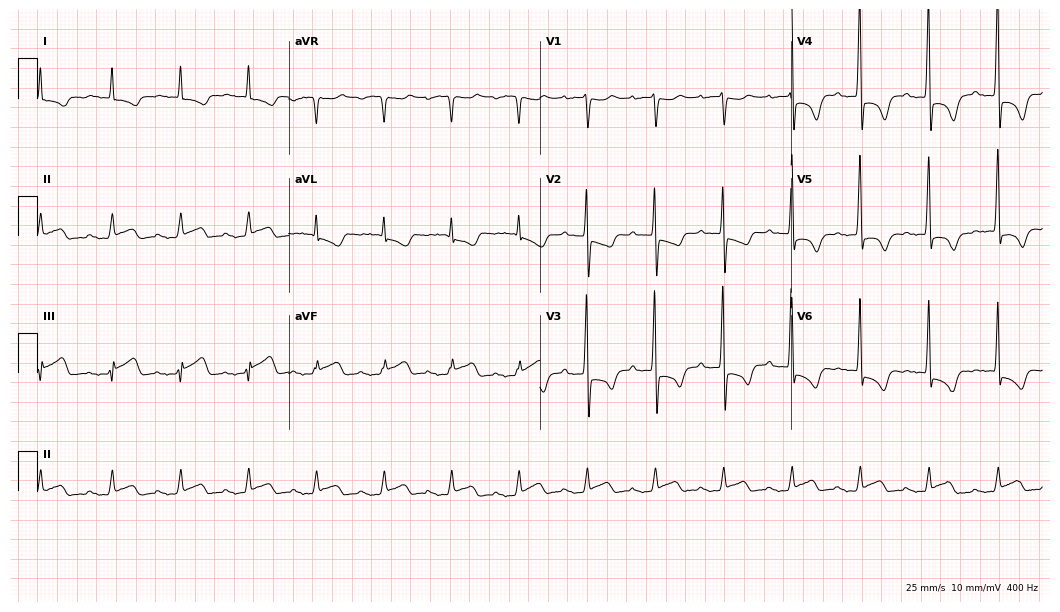
ECG — an 84-year-old male patient. Findings include first-degree AV block.